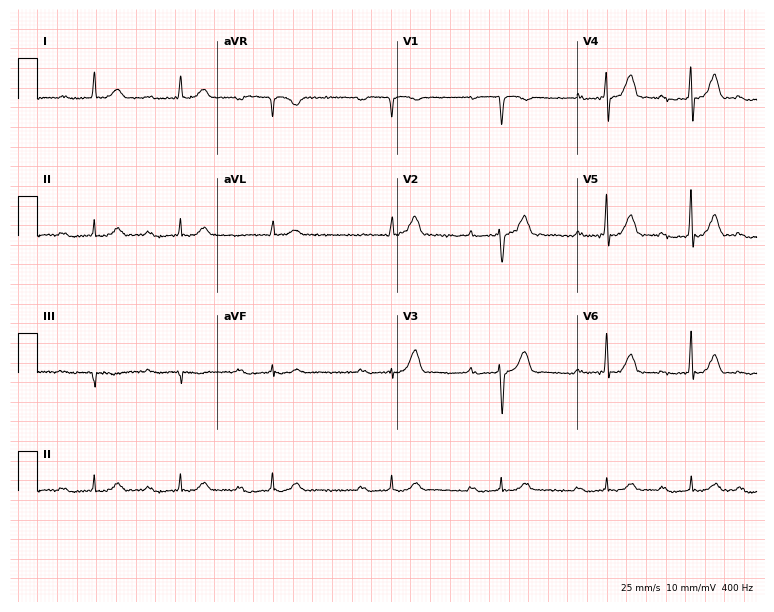
Resting 12-lead electrocardiogram (7.3-second recording at 400 Hz). Patient: a 70-year-old male. The tracing shows first-degree AV block.